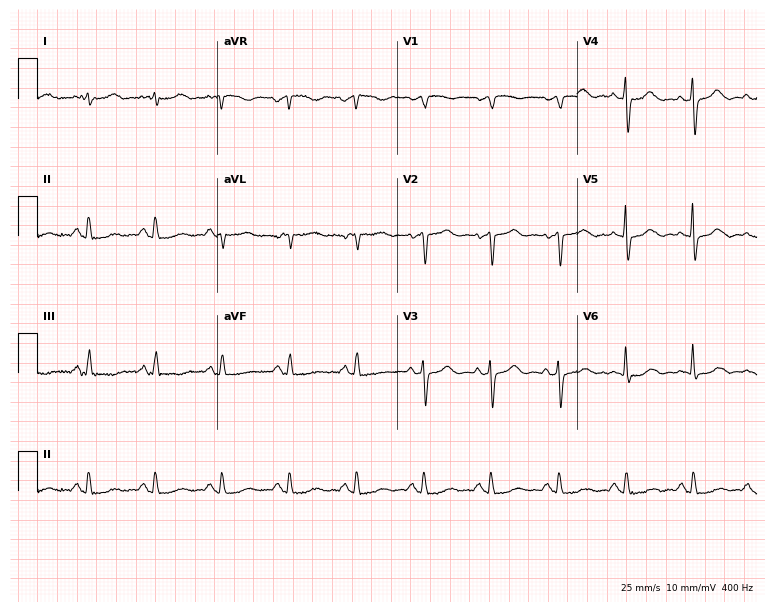
Standard 12-lead ECG recorded from a 69-year-old woman (7.3-second recording at 400 Hz). None of these six findings is recorded: first-degree AV block, right bundle branch block, left bundle branch block, sinus bradycardia, atrial fibrillation, sinus tachycardia. Only these six findings were labelled.